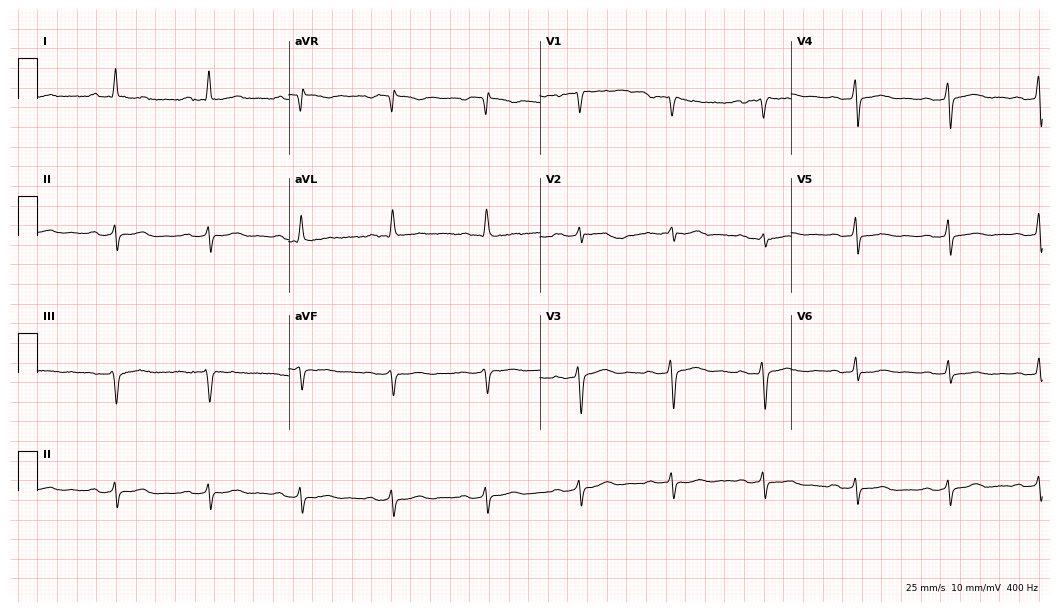
12-lead ECG from a 53-year-old woman. Findings include first-degree AV block.